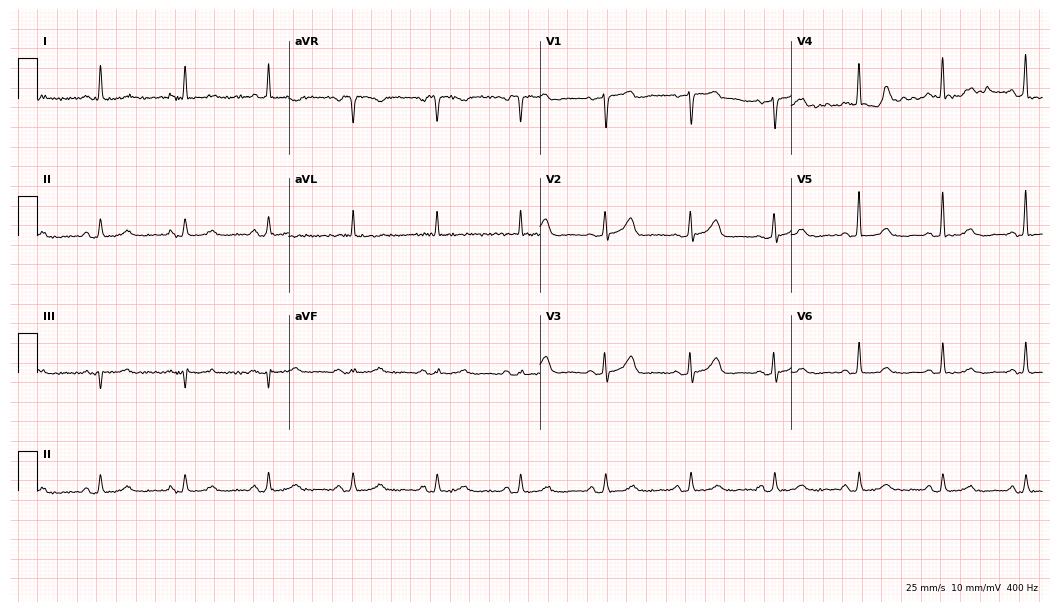
ECG — a female patient, 67 years old. Labelled as a normal ECG.